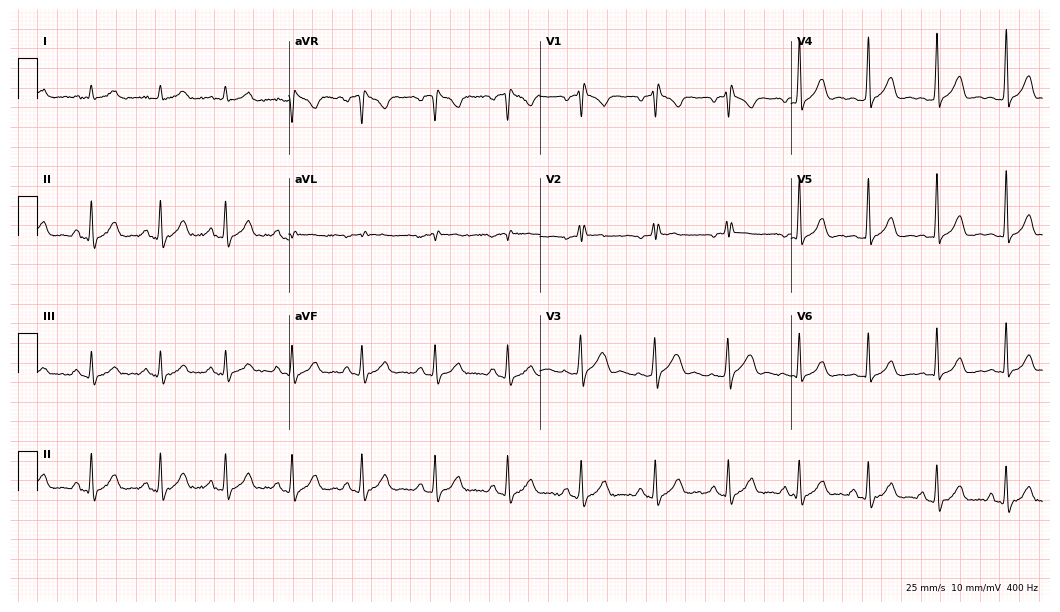
12-lead ECG from a 32-year-old man. Screened for six findings — first-degree AV block, right bundle branch block (RBBB), left bundle branch block (LBBB), sinus bradycardia, atrial fibrillation (AF), sinus tachycardia — none is recorded.